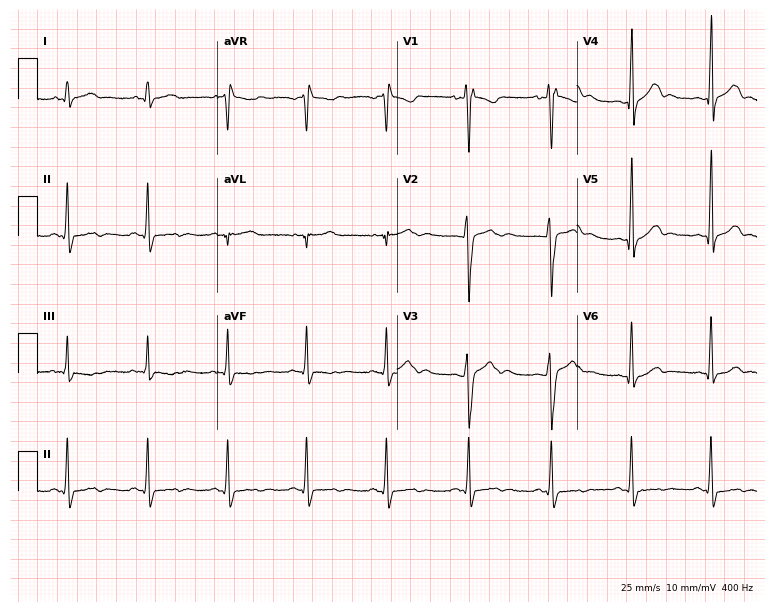
Resting 12-lead electrocardiogram (7.3-second recording at 400 Hz). Patient: a male, 24 years old. None of these six findings is recorded: first-degree AV block, right bundle branch block, left bundle branch block, sinus bradycardia, atrial fibrillation, sinus tachycardia.